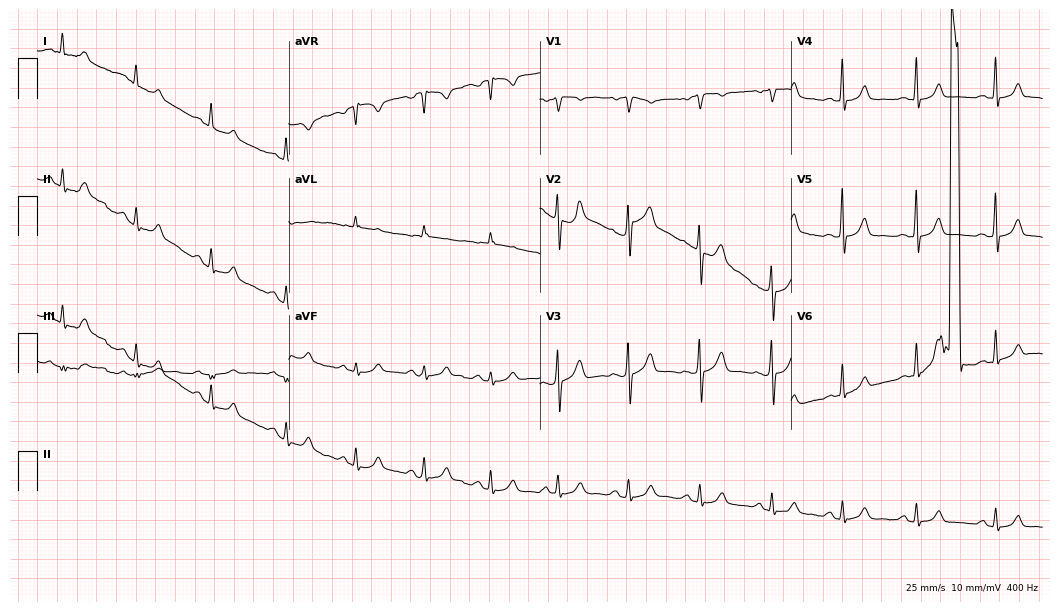
12-lead ECG from a female, 44 years old. No first-degree AV block, right bundle branch block, left bundle branch block, sinus bradycardia, atrial fibrillation or sinus tachycardia recorded for this tracing. Only these six findings were labelled.